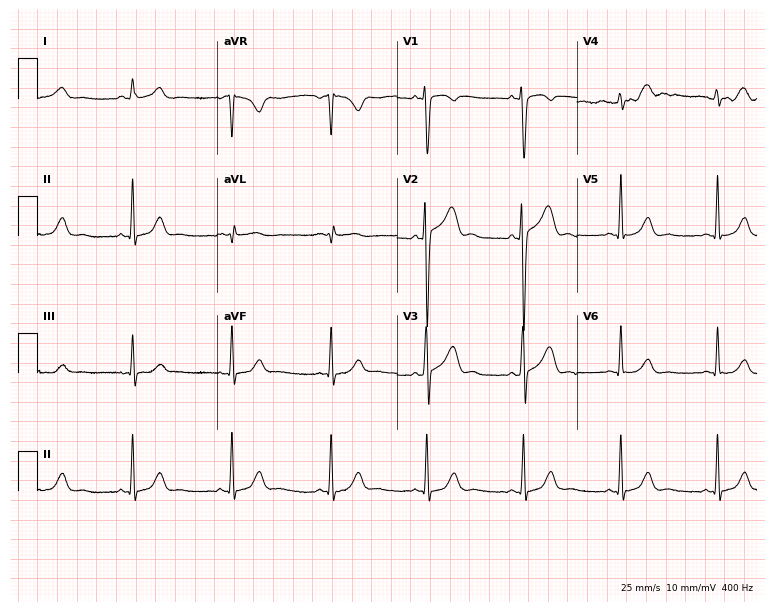
Electrocardiogram, a male patient, 26 years old. Overall reading on record: normal ECG.